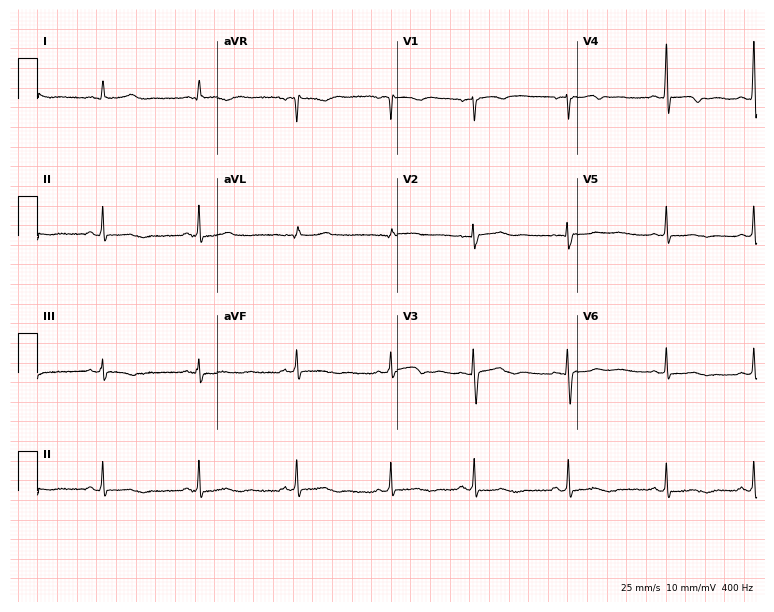
Electrocardiogram (7.3-second recording at 400 Hz), a 29-year-old female patient. Of the six screened findings (first-degree AV block, right bundle branch block, left bundle branch block, sinus bradycardia, atrial fibrillation, sinus tachycardia), none is recorded. Only these six findings were labelled.